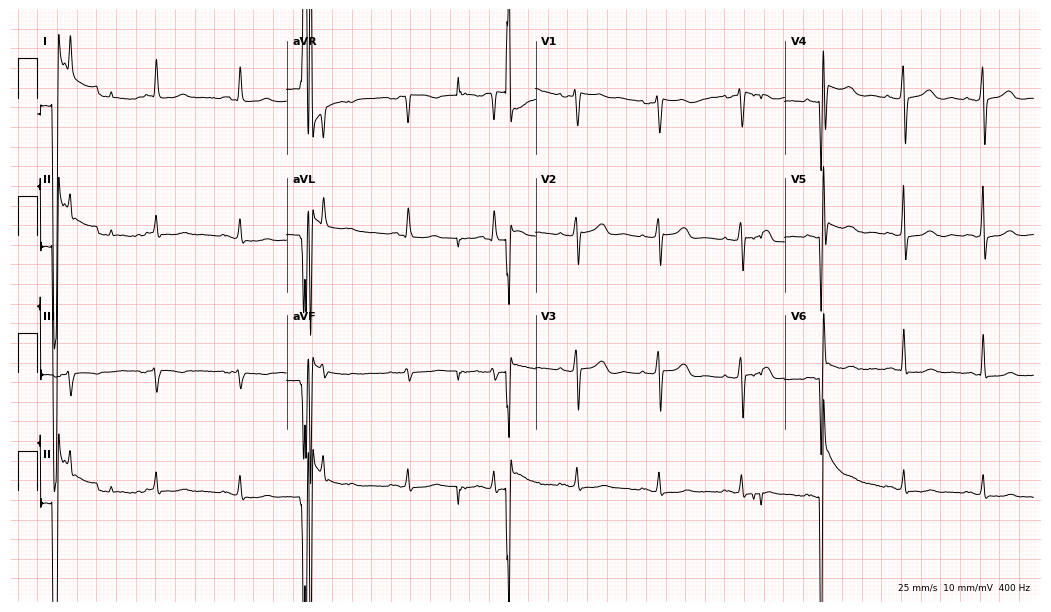
Resting 12-lead electrocardiogram (10.2-second recording at 400 Hz). Patient: a female, 56 years old. None of these six findings is recorded: first-degree AV block, right bundle branch block, left bundle branch block, sinus bradycardia, atrial fibrillation, sinus tachycardia.